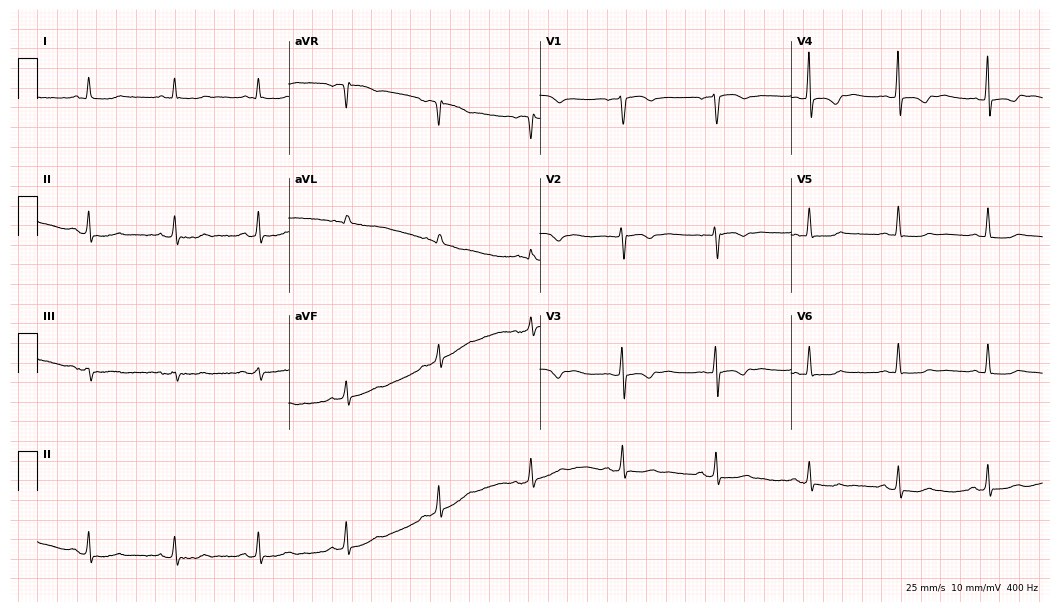
Standard 12-lead ECG recorded from a female, 78 years old (10.2-second recording at 400 Hz). Read as a normal ECG.